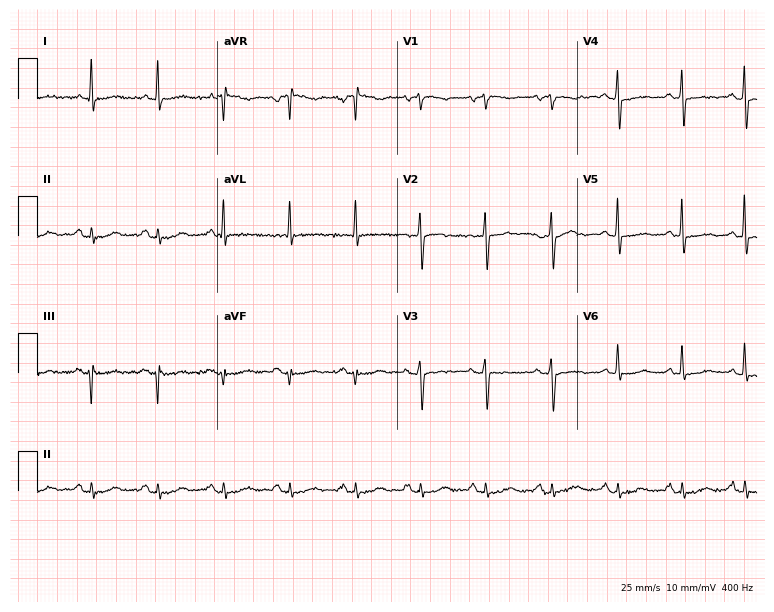
ECG (7.3-second recording at 400 Hz) — a woman, 66 years old. Screened for six findings — first-degree AV block, right bundle branch block, left bundle branch block, sinus bradycardia, atrial fibrillation, sinus tachycardia — none is recorded. Only these six findings were labelled.